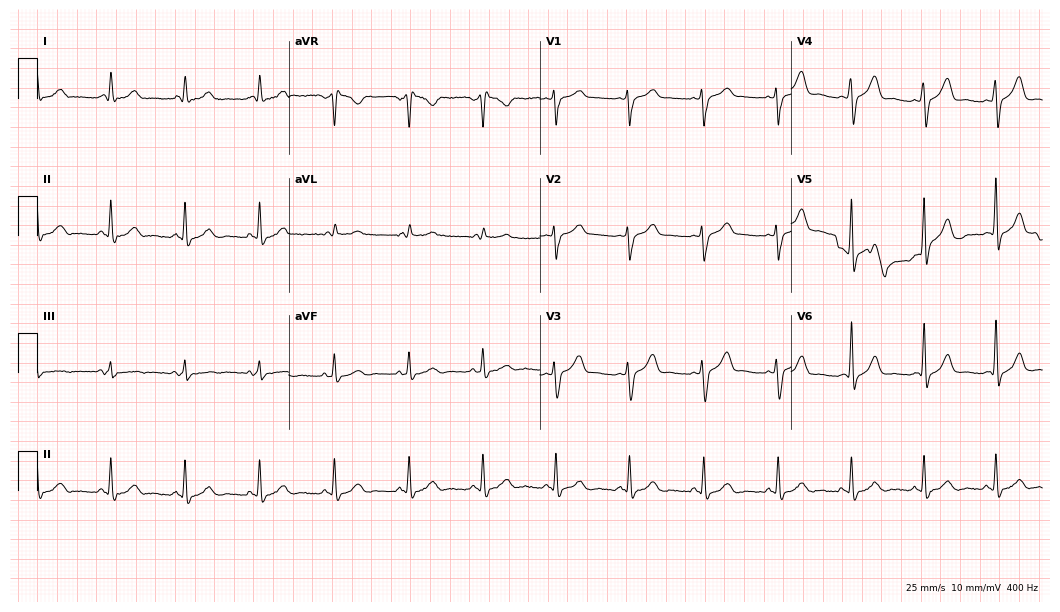
Resting 12-lead electrocardiogram. Patient: a 63-year-old man. None of these six findings is recorded: first-degree AV block, right bundle branch block, left bundle branch block, sinus bradycardia, atrial fibrillation, sinus tachycardia.